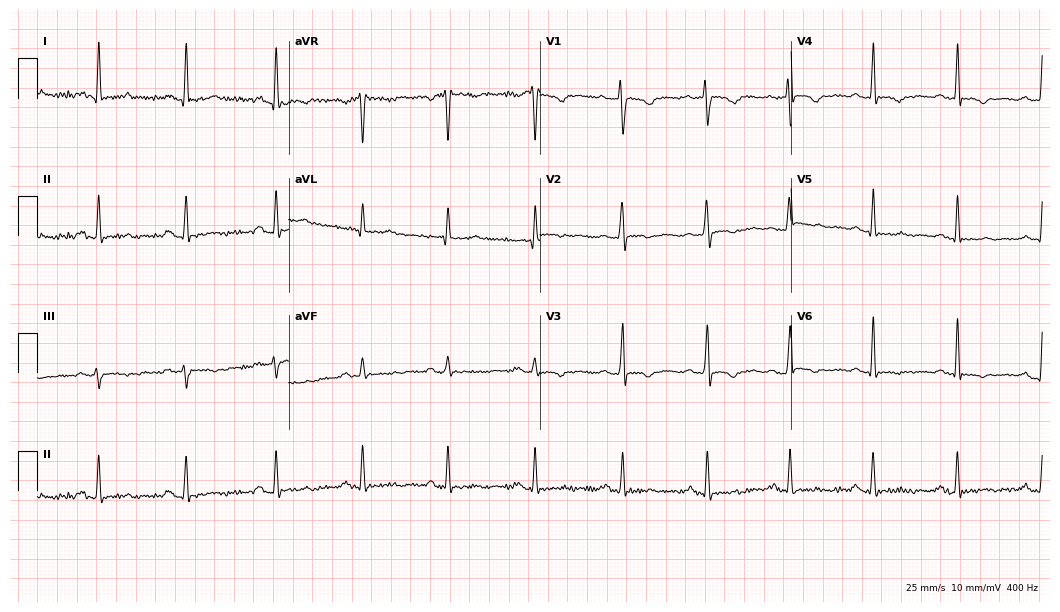
Resting 12-lead electrocardiogram (10.2-second recording at 400 Hz). Patient: a 48-year-old woman. None of these six findings is recorded: first-degree AV block, right bundle branch block, left bundle branch block, sinus bradycardia, atrial fibrillation, sinus tachycardia.